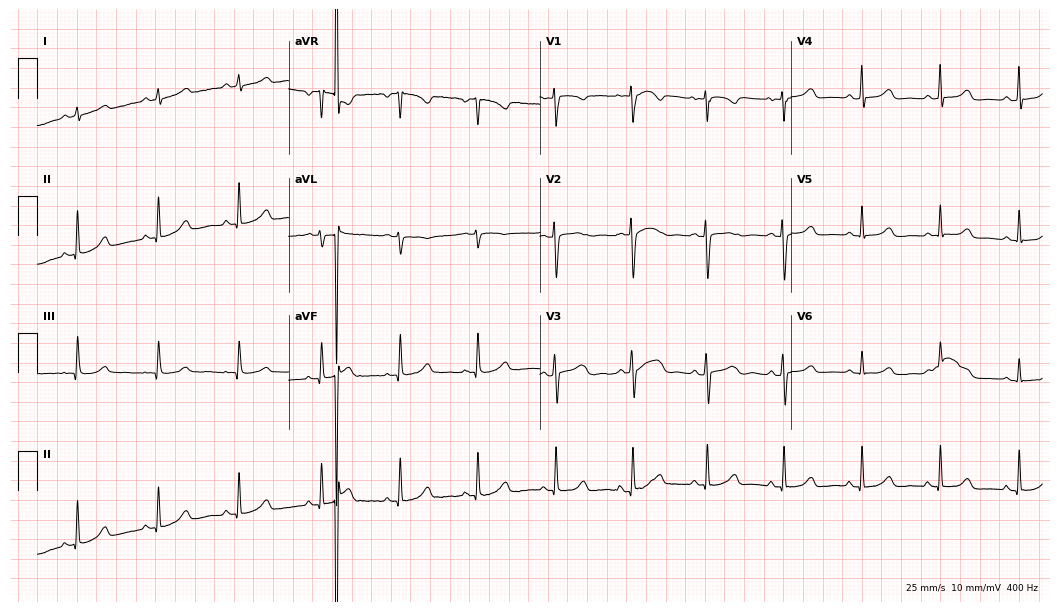
Standard 12-lead ECG recorded from a 36-year-old female patient (10.2-second recording at 400 Hz). Read as a normal ECG.